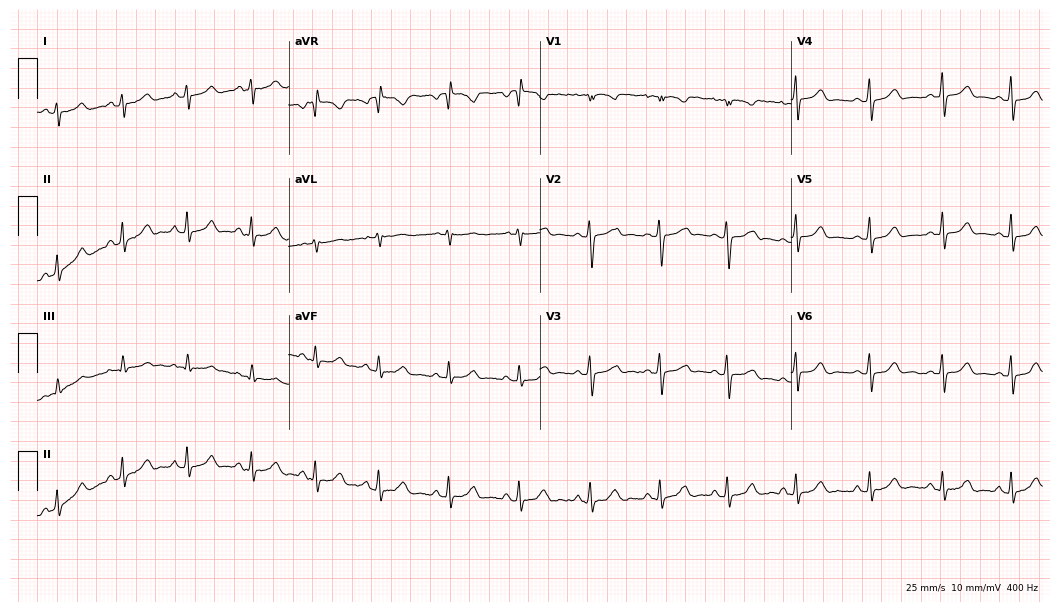
Standard 12-lead ECG recorded from a female patient, 17 years old (10.2-second recording at 400 Hz). Read as a normal ECG.